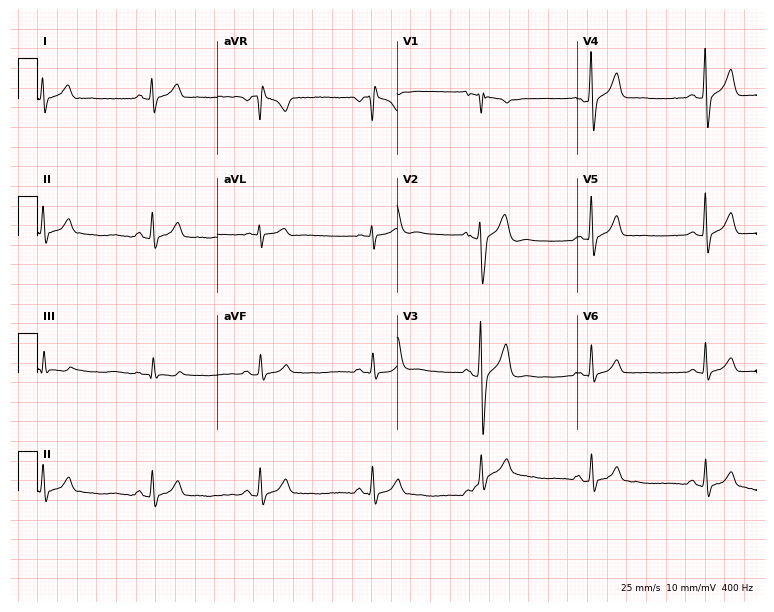
12-lead ECG from a 38-year-old male patient. Screened for six findings — first-degree AV block, right bundle branch block, left bundle branch block, sinus bradycardia, atrial fibrillation, sinus tachycardia — none is recorded. Only these six findings were labelled.